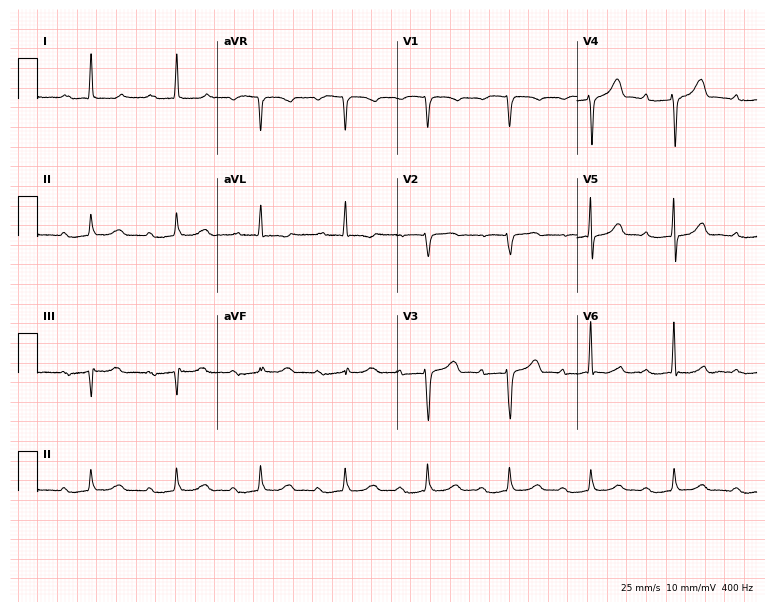
Standard 12-lead ECG recorded from a 70-year-old woman (7.3-second recording at 400 Hz). The tracing shows first-degree AV block.